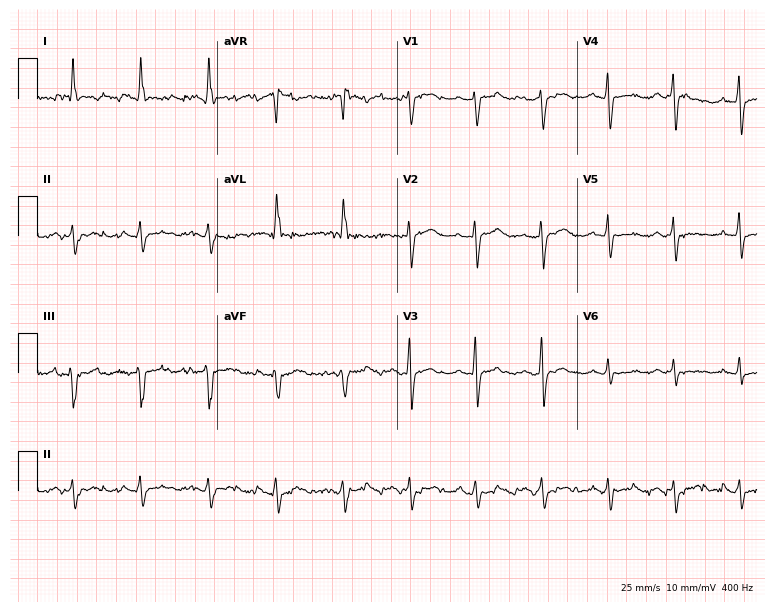
Resting 12-lead electrocardiogram. Patient: a 73-year-old female. None of these six findings is recorded: first-degree AV block, right bundle branch block (RBBB), left bundle branch block (LBBB), sinus bradycardia, atrial fibrillation (AF), sinus tachycardia. Findings outside these six are not listed.